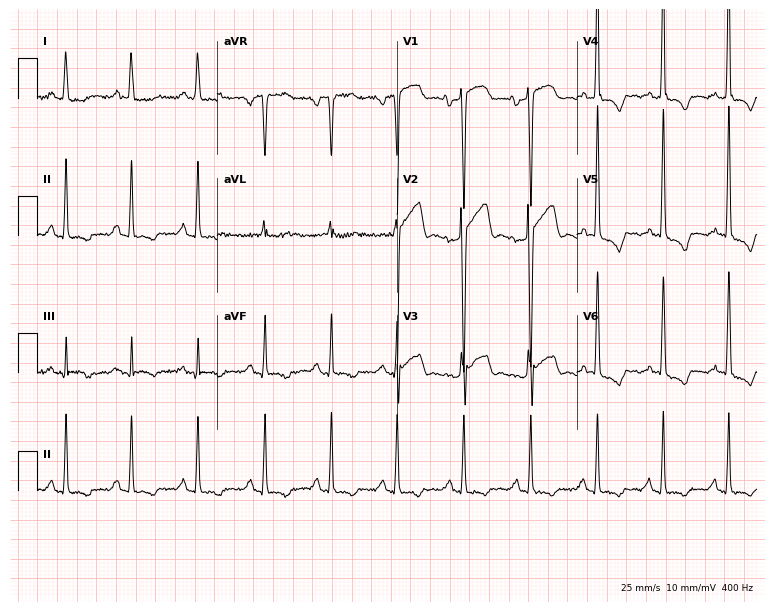
12-lead ECG from a male, 36 years old. Screened for six findings — first-degree AV block, right bundle branch block (RBBB), left bundle branch block (LBBB), sinus bradycardia, atrial fibrillation (AF), sinus tachycardia — none is recorded. Only these six findings were labelled.